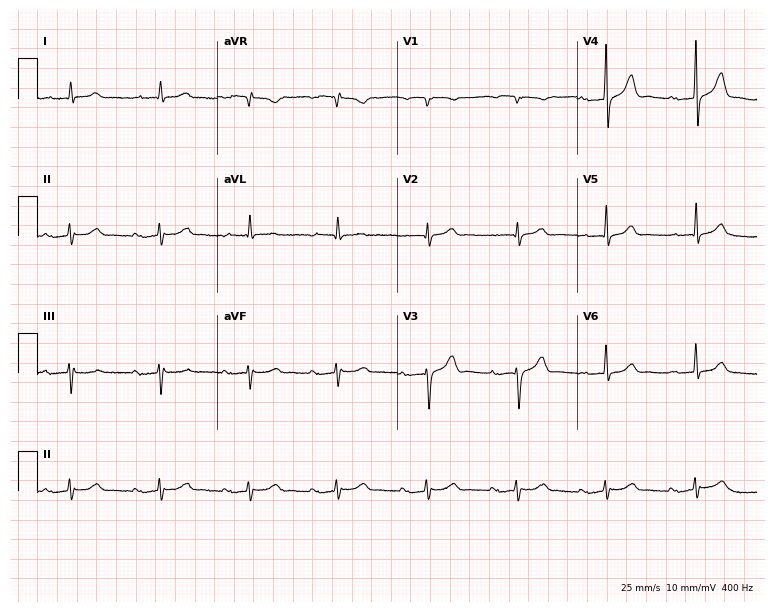
Standard 12-lead ECG recorded from a man, 82 years old (7.3-second recording at 400 Hz). Read as a normal ECG.